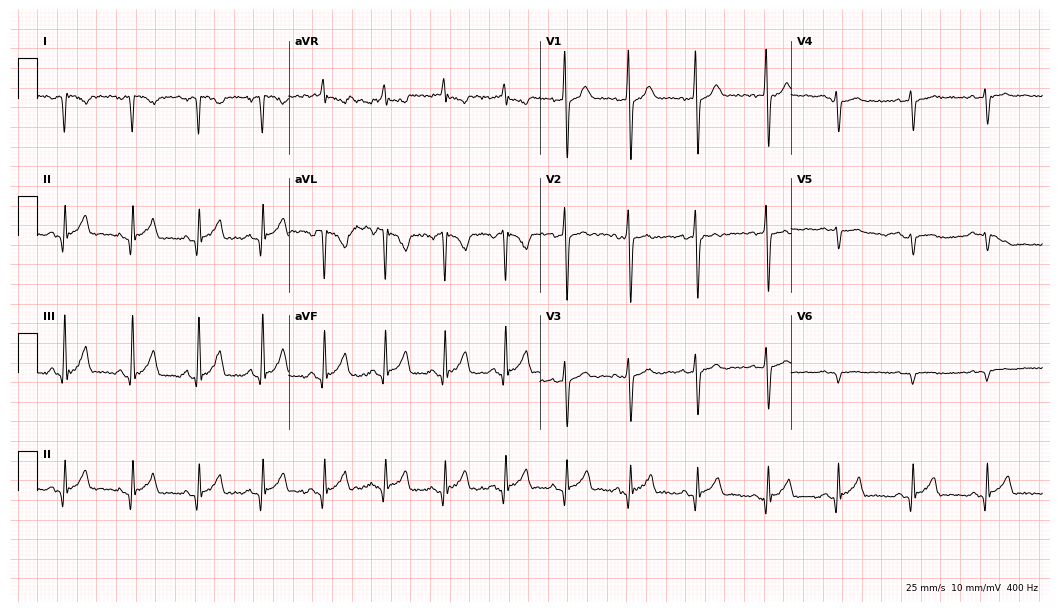
12-lead ECG (10.2-second recording at 400 Hz) from an 18-year-old male patient. Screened for six findings — first-degree AV block, right bundle branch block, left bundle branch block, sinus bradycardia, atrial fibrillation, sinus tachycardia — none is recorded.